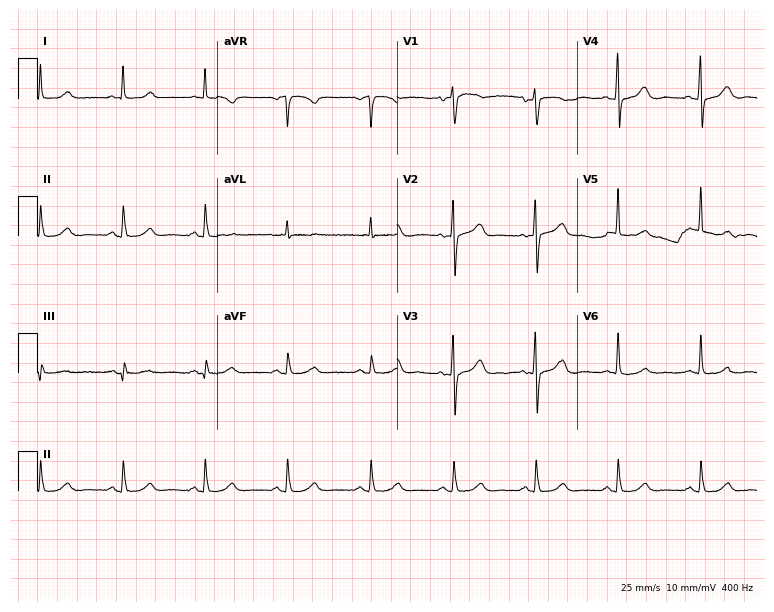
Standard 12-lead ECG recorded from a 68-year-old female. Read as a normal ECG.